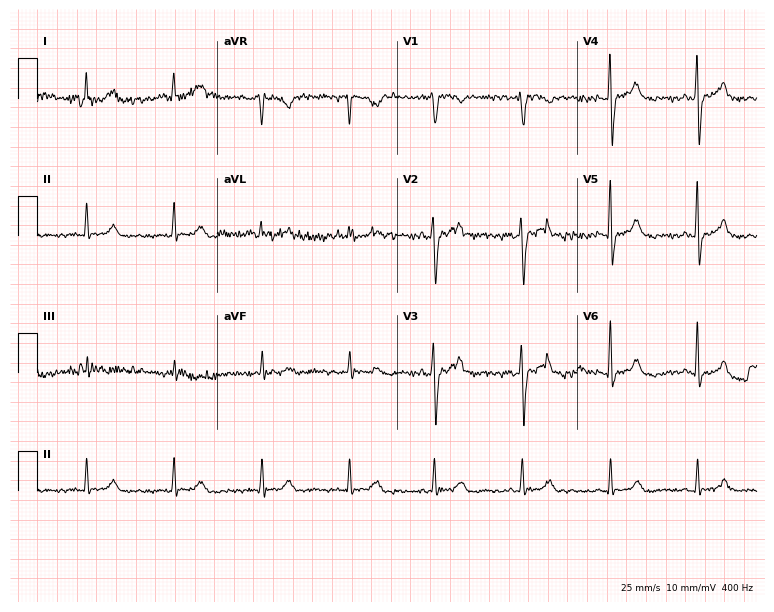
Electrocardiogram (7.3-second recording at 400 Hz), a female, 45 years old. Of the six screened findings (first-degree AV block, right bundle branch block, left bundle branch block, sinus bradycardia, atrial fibrillation, sinus tachycardia), none is recorded. Findings outside these six are not listed.